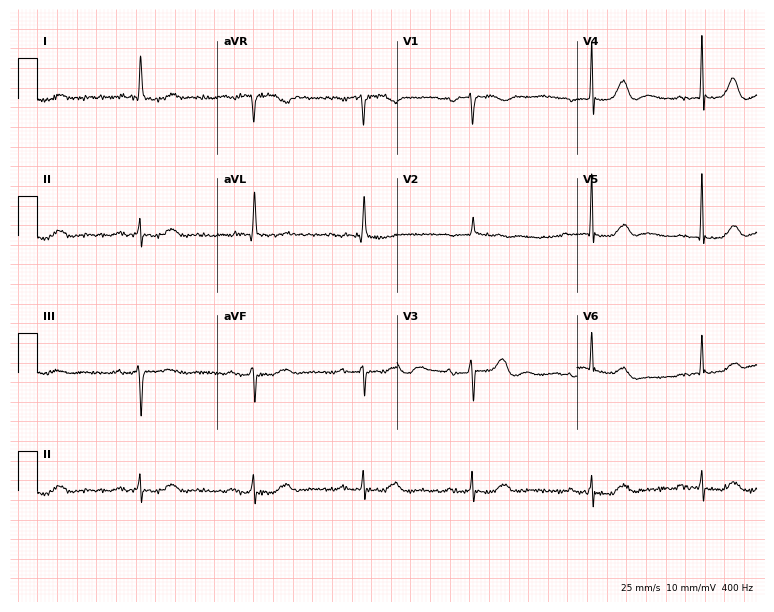
Resting 12-lead electrocardiogram (7.3-second recording at 400 Hz). Patient: a female, 83 years old. The tracing shows first-degree AV block.